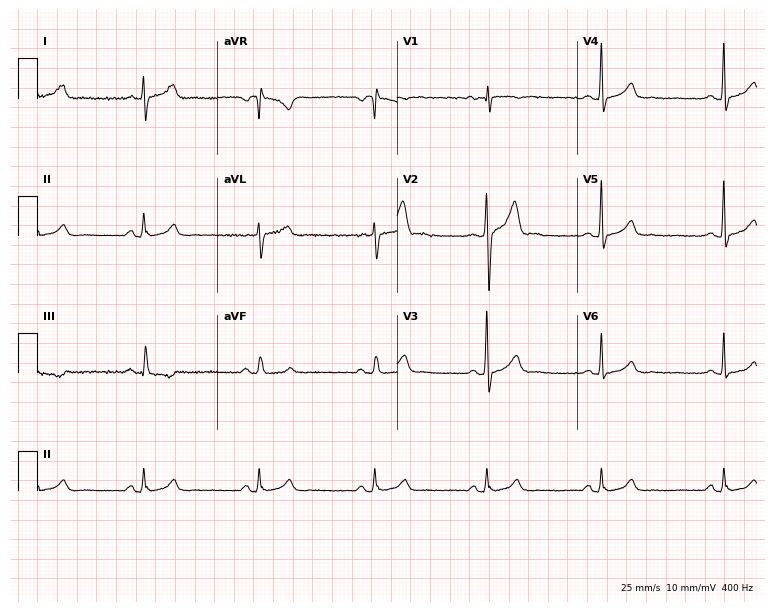
Electrocardiogram (7.3-second recording at 400 Hz), a 38-year-old male. Overall reading on record: normal ECG.